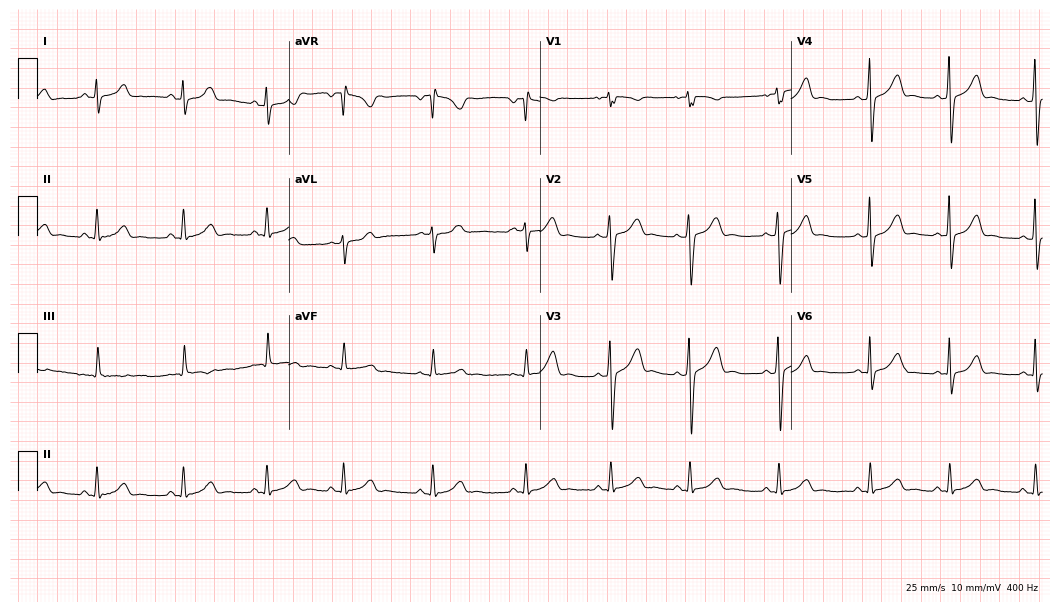
12-lead ECG from a female, 18 years old (10.2-second recording at 400 Hz). No first-degree AV block, right bundle branch block, left bundle branch block, sinus bradycardia, atrial fibrillation or sinus tachycardia recorded for this tracing. Other findings, if any, are not listed.